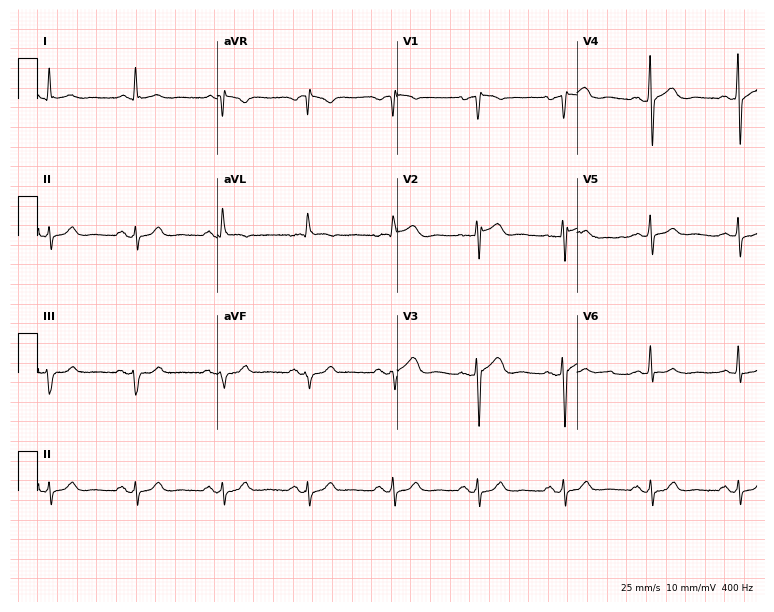
Resting 12-lead electrocardiogram. Patient: a man, 72 years old. Read as a normal ECG.